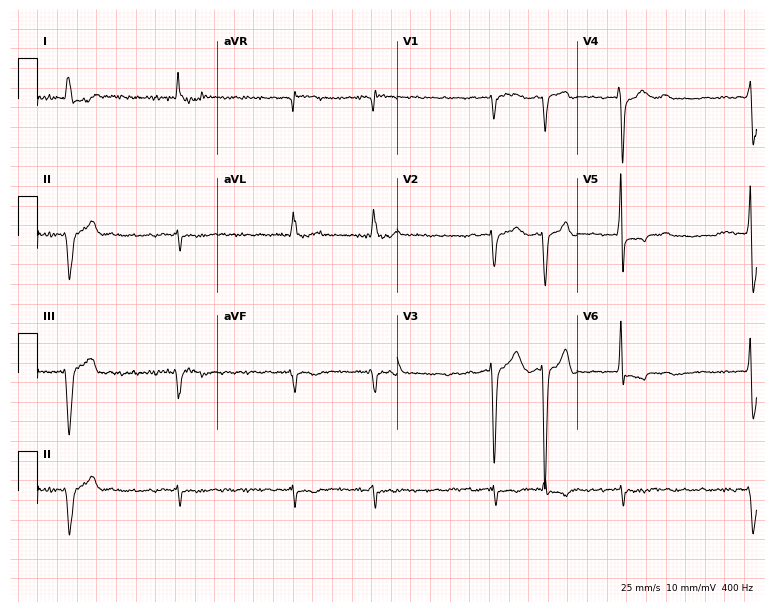
12-lead ECG from a male patient, 60 years old (7.3-second recording at 400 Hz). No first-degree AV block, right bundle branch block, left bundle branch block, sinus bradycardia, atrial fibrillation or sinus tachycardia recorded for this tracing.